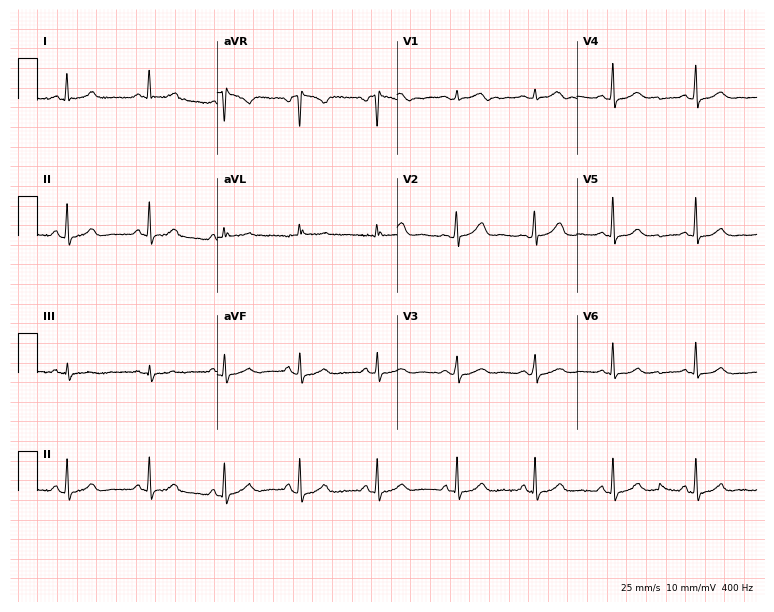
Resting 12-lead electrocardiogram. Patient: a female, 32 years old. Read as a normal ECG.